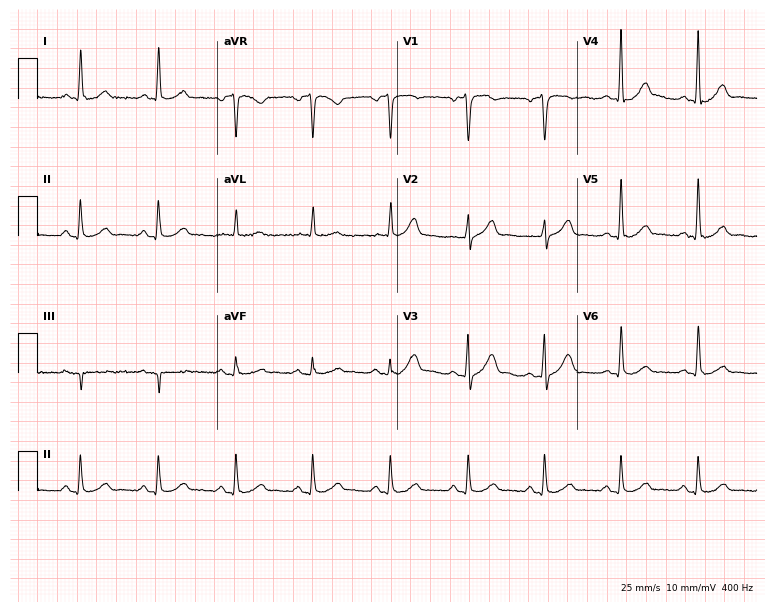
ECG — a 61-year-old male patient. Labelled as a normal ECG.